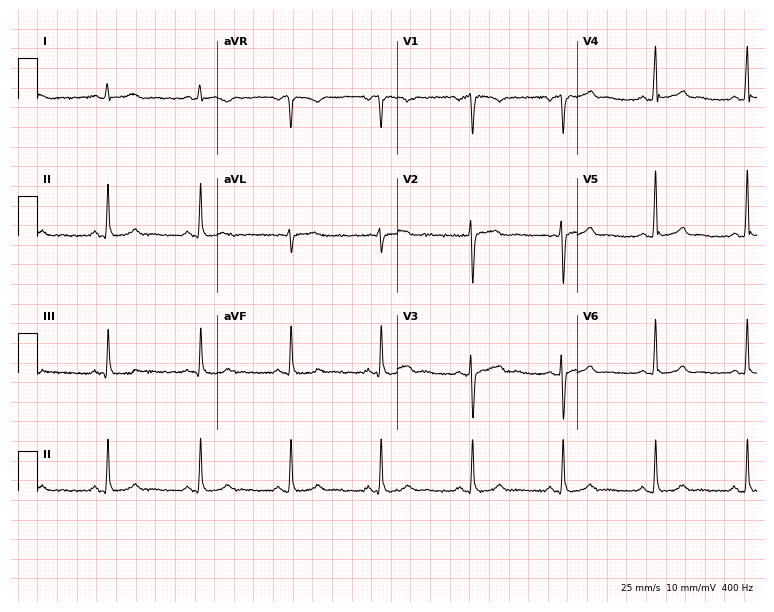
12-lead ECG from a female patient, 32 years old. No first-degree AV block, right bundle branch block (RBBB), left bundle branch block (LBBB), sinus bradycardia, atrial fibrillation (AF) or sinus tachycardia recorded for this tracing.